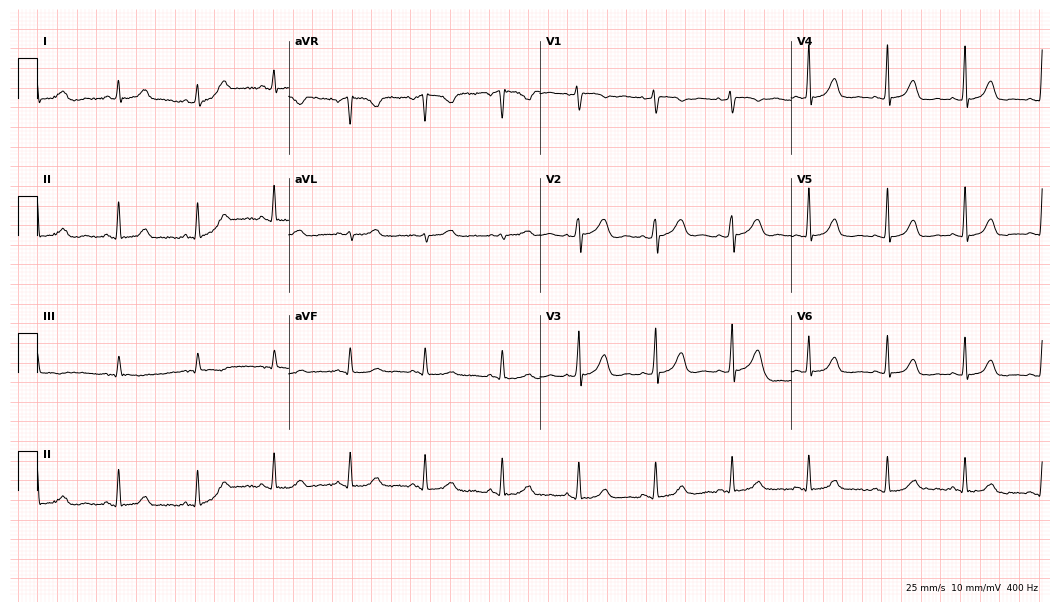
12-lead ECG from a woman, 41 years old. Labelled as a normal ECG.